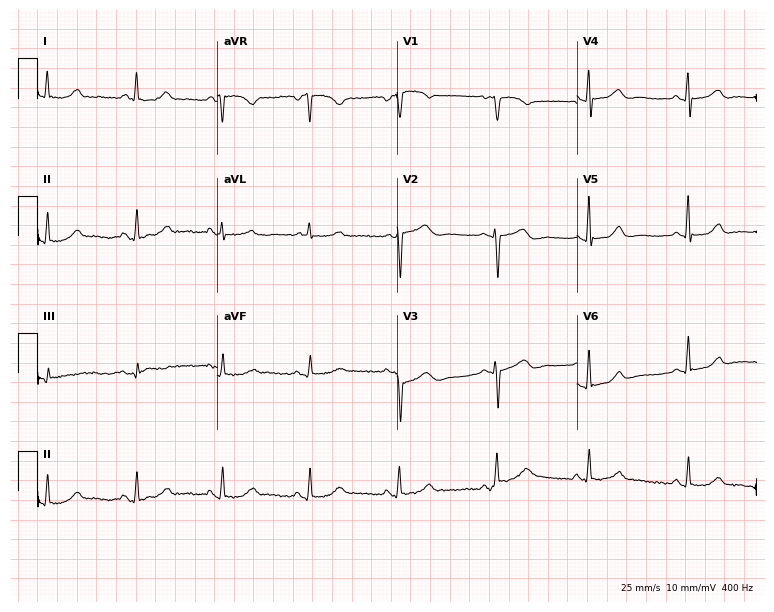
12-lead ECG (7.3-second recording at 400 Hz) from a female patient, 62 years old. Screened for six findings — first-degree AV block, right bundle branch block, left bundle branch block, sinus bradycardia, atrial fibrillation, sinus tachycardia — none is recorded.